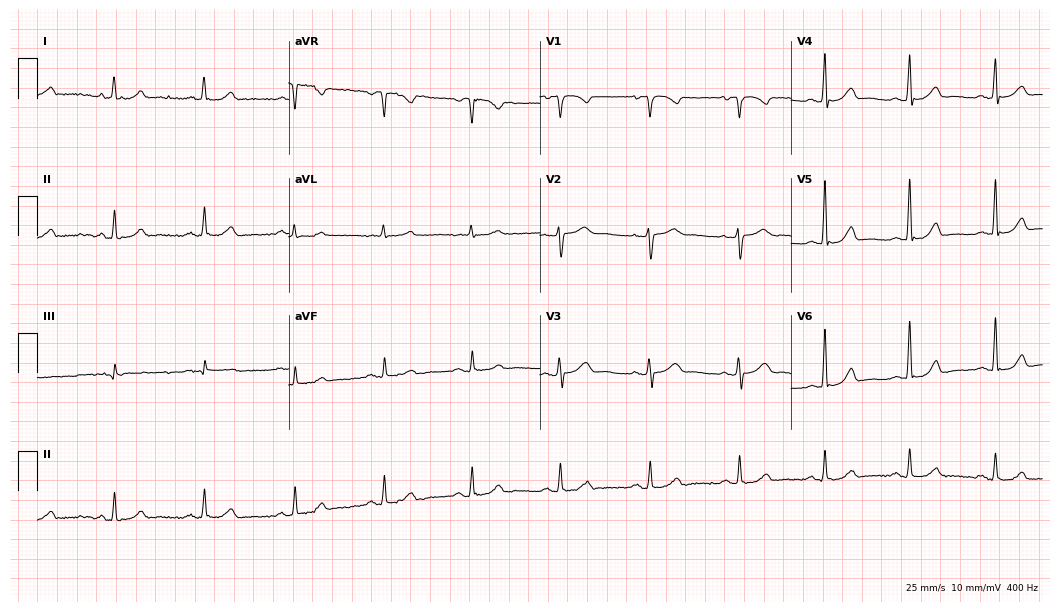
12-lead ECG from a female, 52 years old (10.2-second recording at 400 Hz). No first-degree AV block, right bundle branch block, left bundle branch block, sinus bradycardia, atrial fibrillation or sinus tachycardia recorded for this tracing.